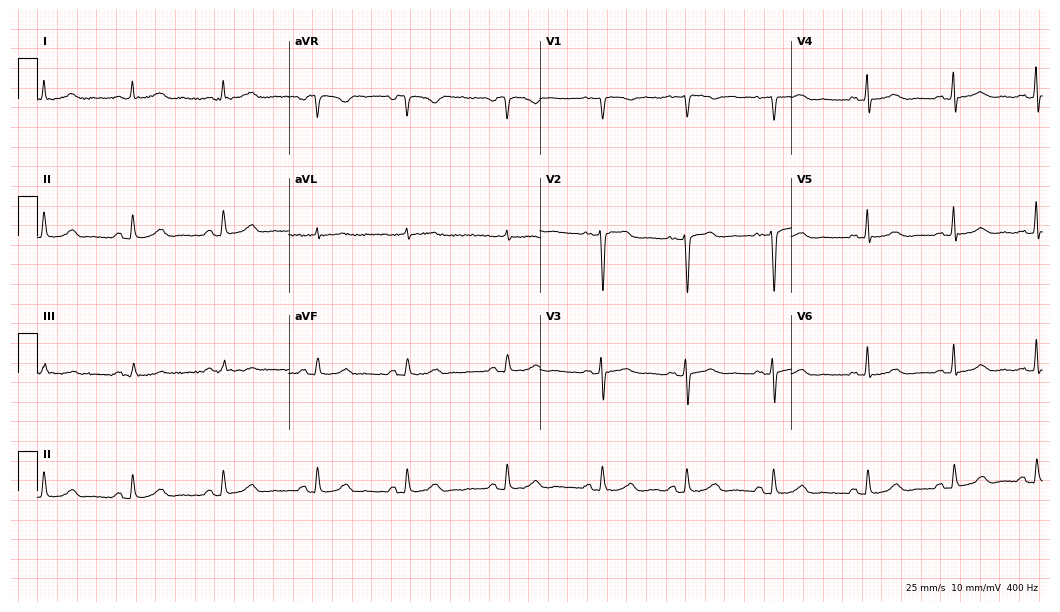
ECG (10.2-second recording at 400 Hz) — a woman, 45 years old. Labelled as a normal ECG.